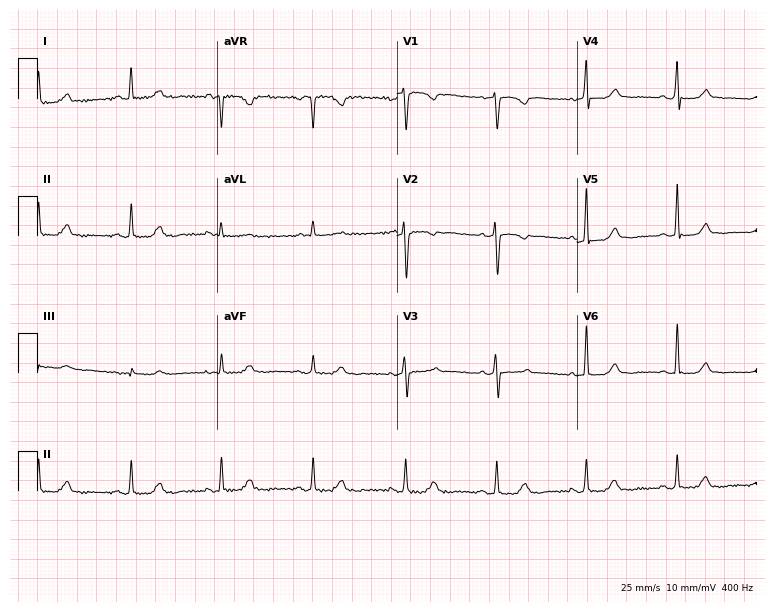
Resting 12-lead electrocardiogram. Patient: a female, 50 years old. None of these six findings is recorded: first-degree AV block, right bundle branch block (RBBB), left bundle branch block (LBBB), sinus bradycardia, atrial fibrillation (AF), sinus tachycardia. Findings outside these six are not listed.